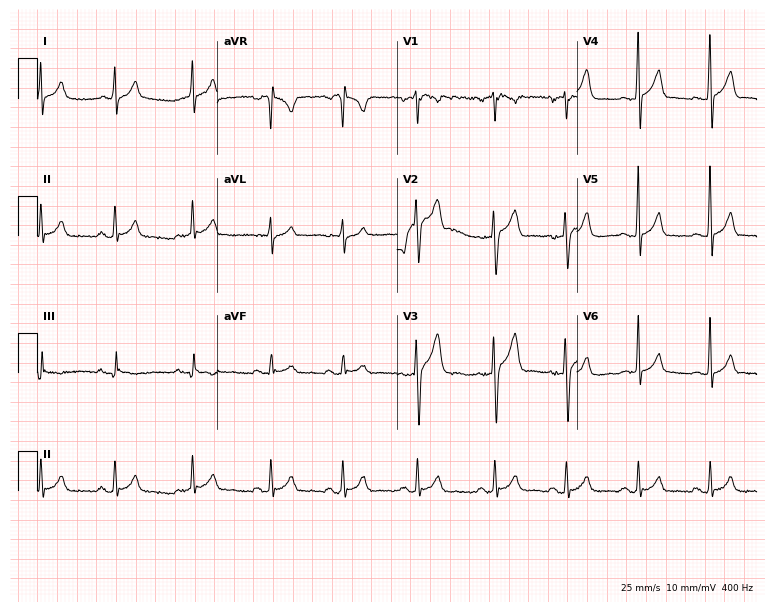
Resting 12-lead electrocardiogram (7.3-second recording at 400 Hz). Patient: a 31-year-old male. None of these six findings is recorded: first-degree AV block, right bundle branch block, left bundle branch block, sinus bradycardia, atrial fibrillation, sinus tachycardia. Findings outside these six are not listed.